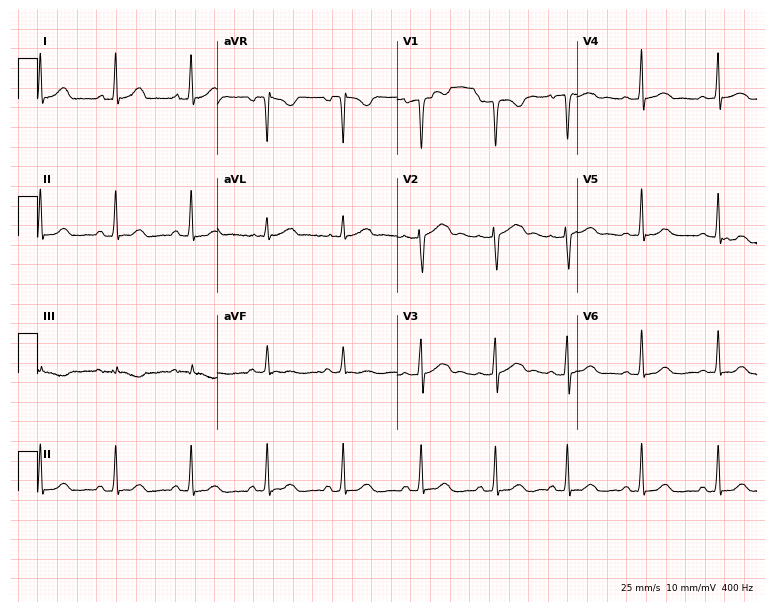
Resting 12-lead electrocardiogram (7.3-second recording at 400 Hz). Patient: a 29-year-old female. None of these six findings is recorded: first-degree AV block, right bundle branch block (RBBB), left bundle branch block (LBBB), sinus bradycardia, atrial fibrillation (AF), sinus tachycardia. Findings outside these six are not listed.